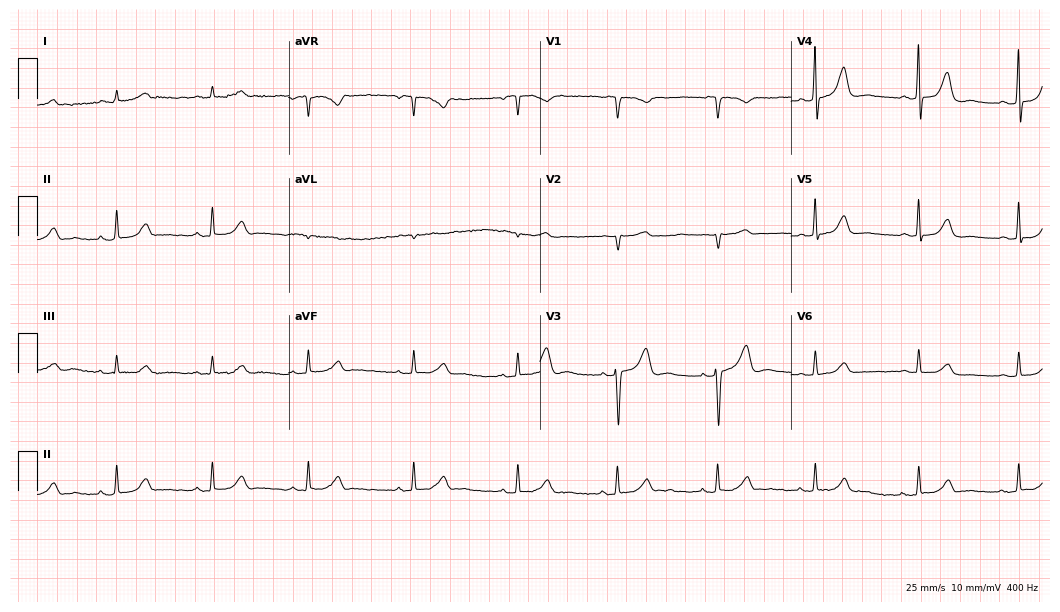
Electrocardiogram (10.2-second recording at 400 Hz), a 70-year-old female. Of the six screened findings (first-degree AV block, right bundle branch block, left bundle branch block, sinus bradycardia, atrial fibrillation, sinus tachycardia), none is recorded.